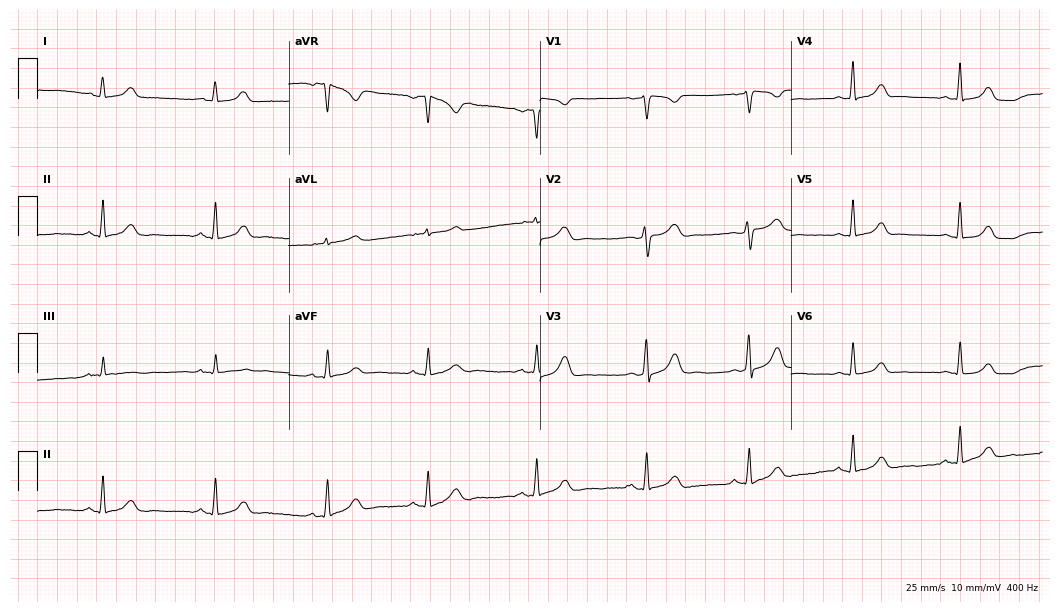
ECG — a 33-year-old female. Labelled as a normal ECG.